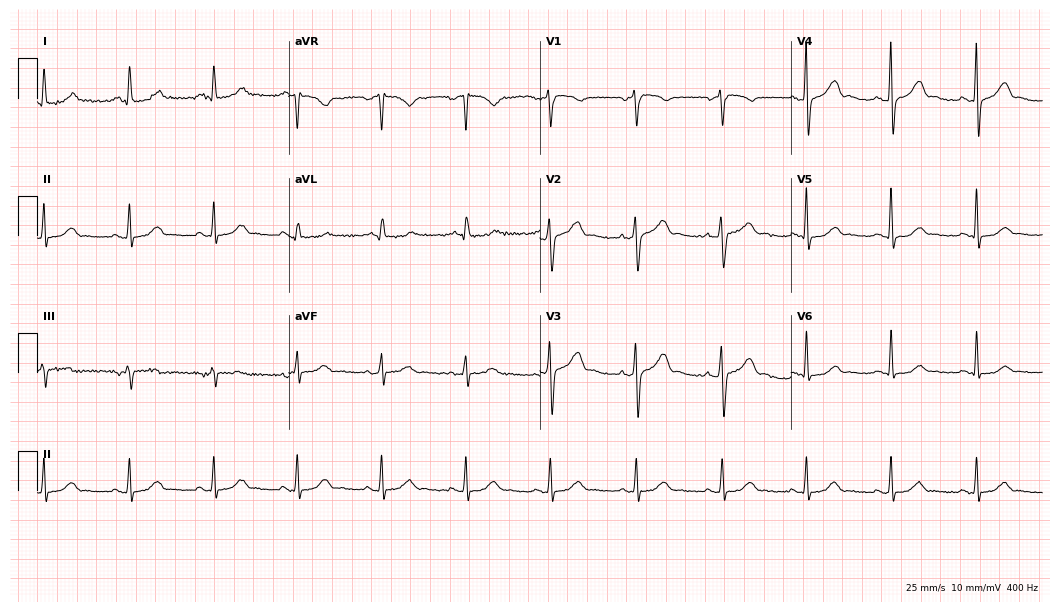
Resting 12-lead electrocardiogram. Patient: a female, 53 years old. Read as a normal ECG.